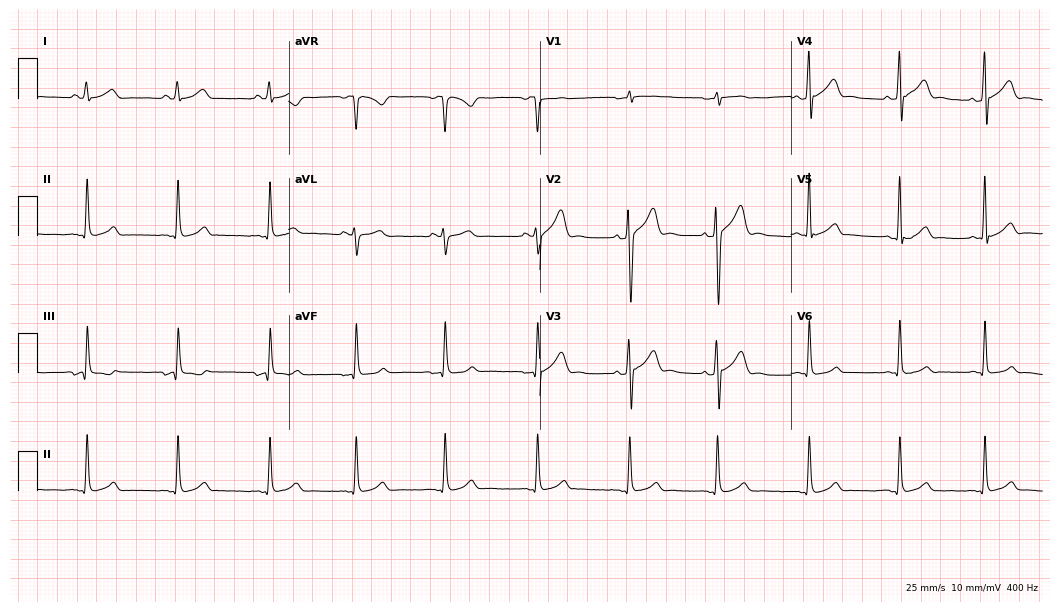
Standard 12-lead ECG recorded from a 26-year-old male patient. None of these six findings is recorded: first-degree AV block, right bundle branch block, left bundle branch block, sinus bradycardia, atrial fibrillation, sinus tachycardia. Other findings, if any, are not listed.